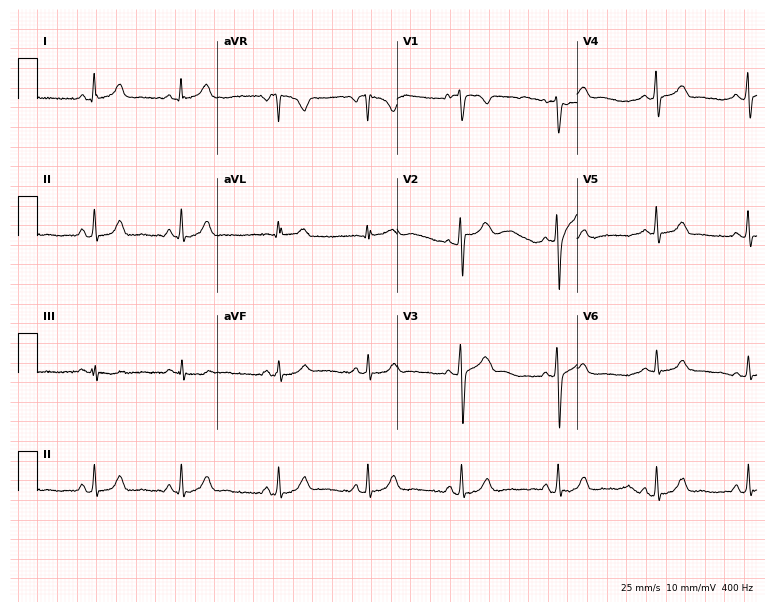
12-lead ECG (7.3-second recording at 400 Hz) from a 38-year-old female patient. Labelled as a normal ECG.